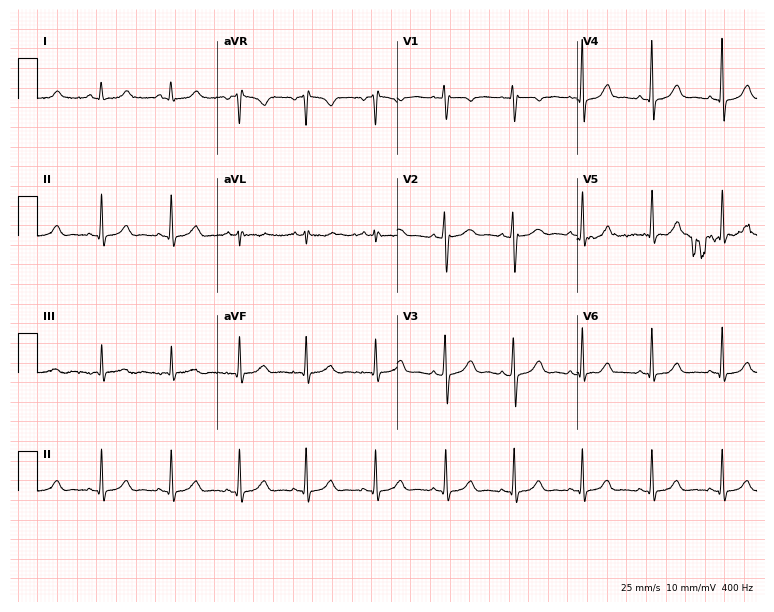
Standard 12-lead ECG recorded from a female patient, 32 years old. None of these six findings is recorded: first-degree AV block, right bundle branch block, left bundle branch block, sinus bradycardia, atrial fibrillation, sinus tachycardia. Other findings, if any, are not listed.